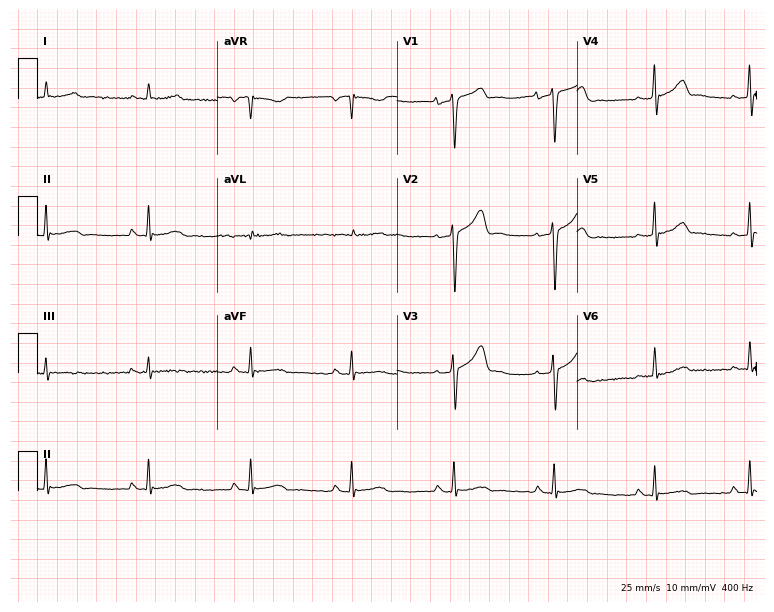
Electrocardiogram (7.3-second recording at 400 Hz), a 59-year-old male patient. Of the six screened findings (first-degree AV block, right bundle branch block, left bundle branch block, sinus bradycardia, atrial fibrillation, sinus tachycardia), none is recorded.